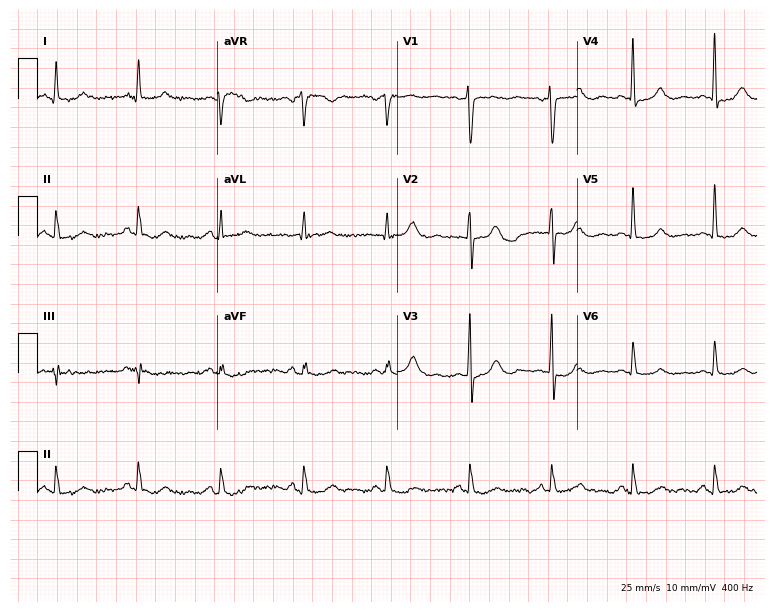
Electrocardiogram (7.3-second recording at 400 Hz), a man, 77 years old. Of the six screened findings (first-degree AV block, right bundle branch block, left bundle branch block, sinus bradycardia, atrial fibrillation, sinus tachycardia), none is recorded.